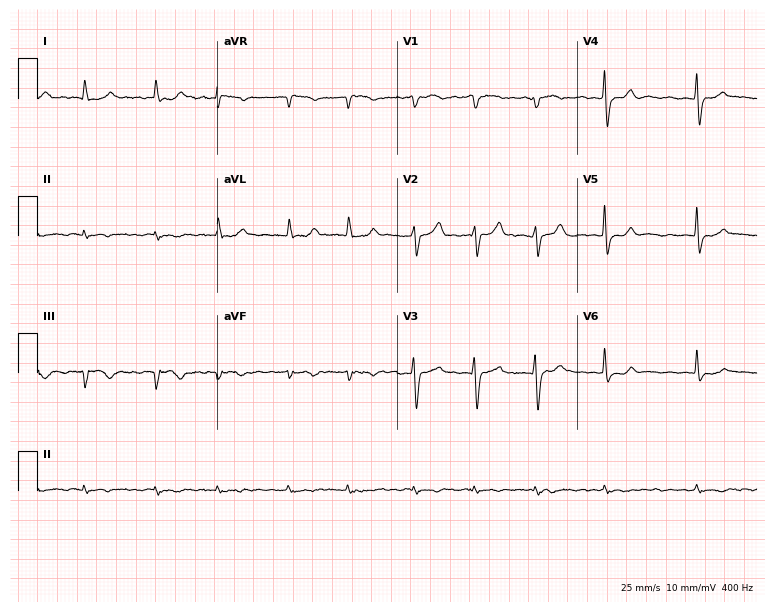
12-lead ECG (7.3-second recording at 400 Hz) from a man, 76 years old. Findings include atrial fibrillation (AF).